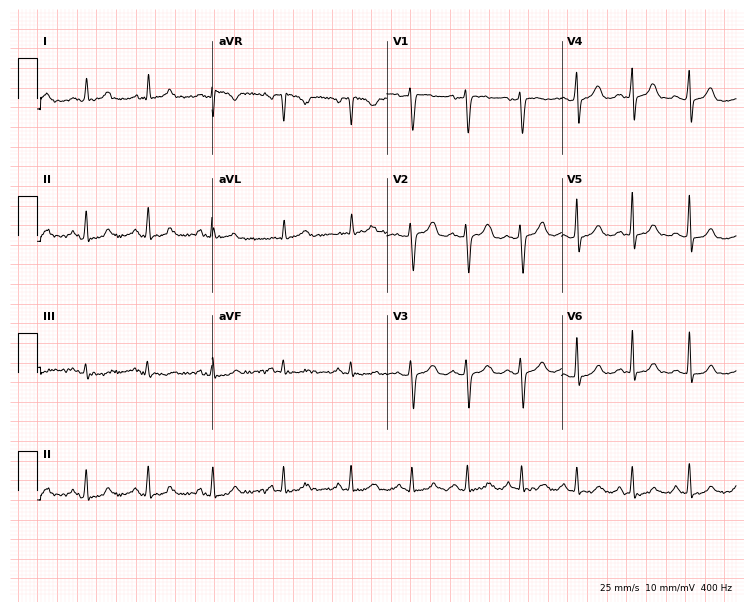
12-lead ECG from a female patient, 41 years old. Screened for six findings — first-degree AV block, right bundle branch block, left bundle branch block, sinus bradycardia, atrial fibrillation, sinus tachycardia — none is recorded.